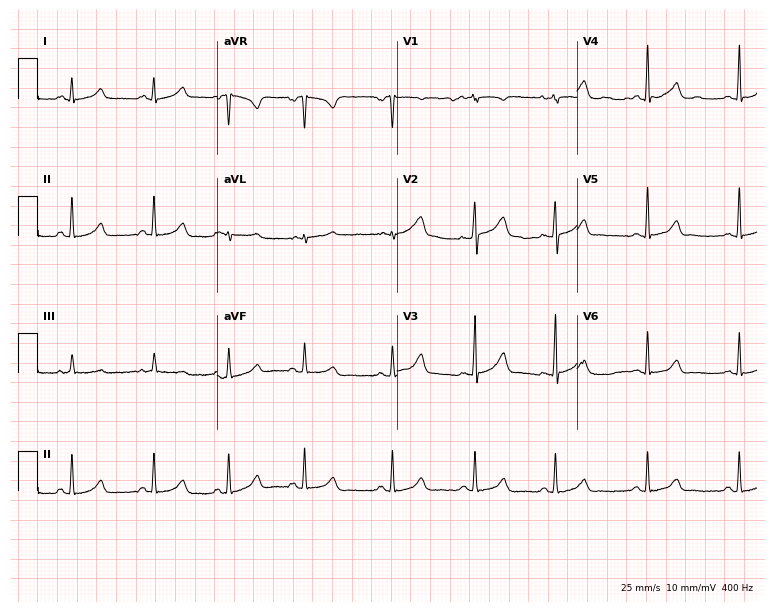
Resting 12-lead electrocardiogram (7.3-second recording at 400 Hz). Patient: a female, 22 years old. Read as a normal ECG.